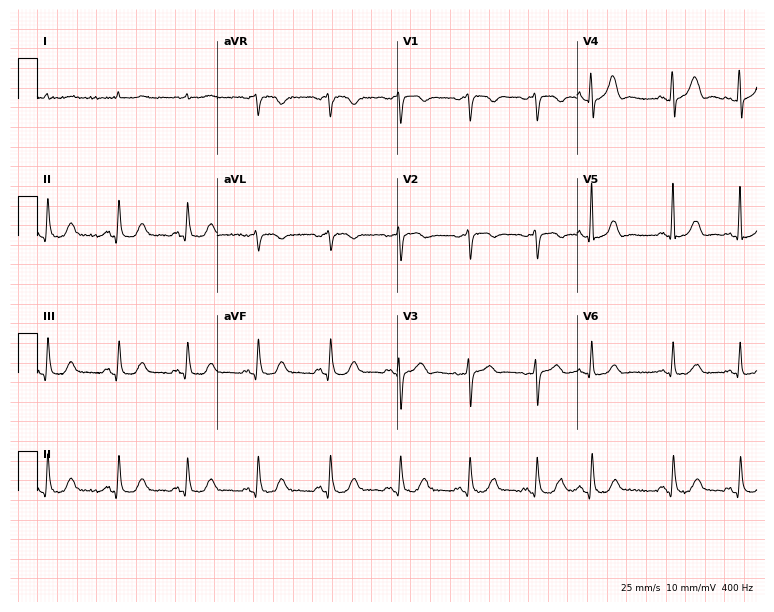
12-lead ECG (7.3-second recording at 400 Hz) from a woman, 76 years old. Labelled as a normal ECG.